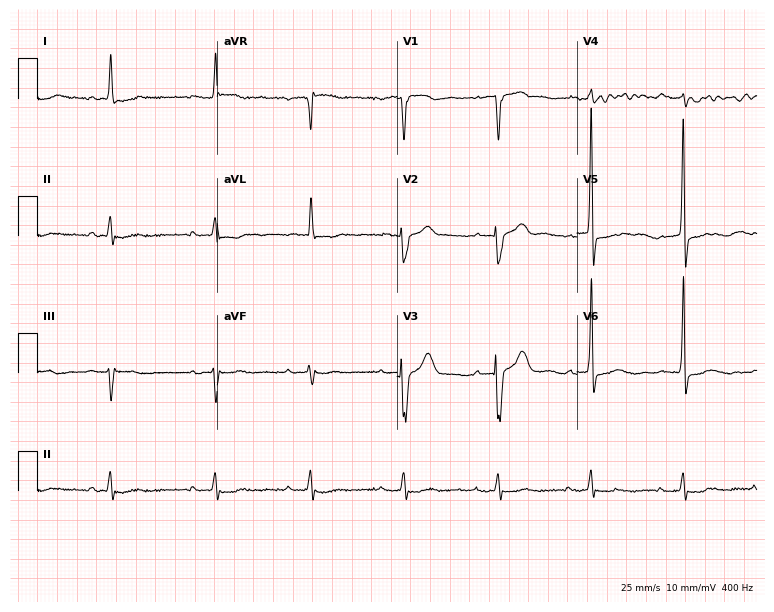
ECG — a male patient, 84 years old. Findings include first-degree AV block.